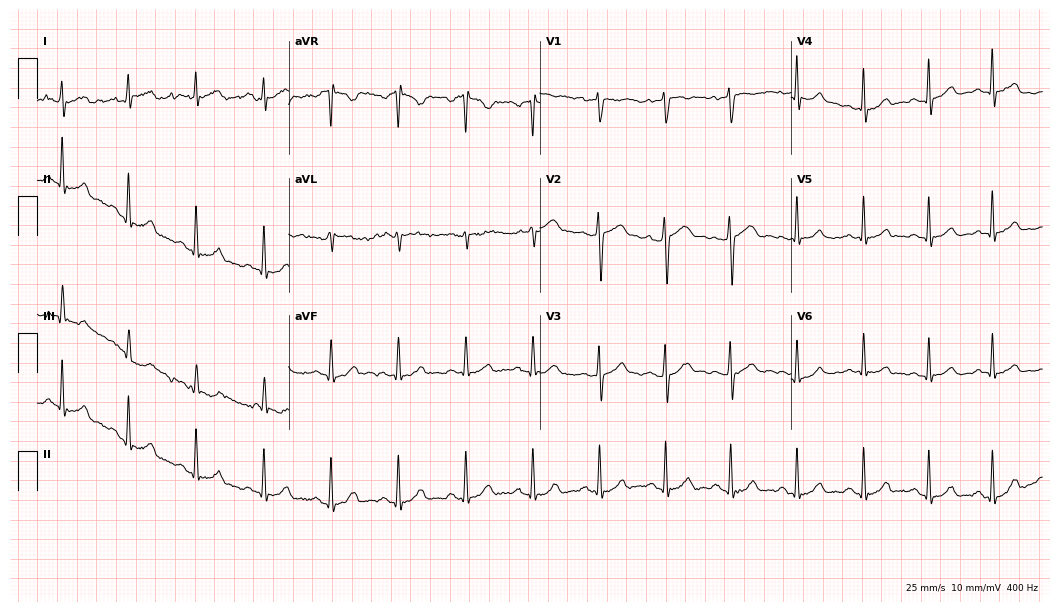
12-lead ECG from a 39-year-old man. Recorded interpretation: within normal limits.